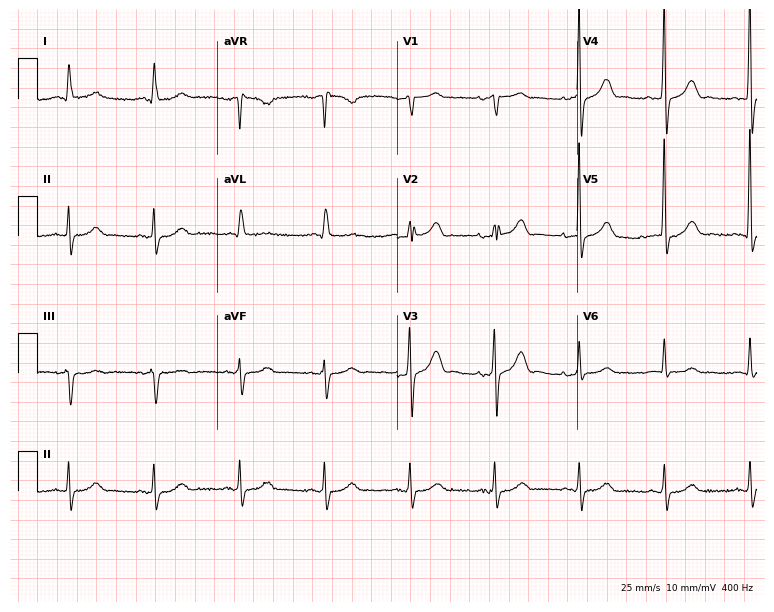
Electrocardiogram, an 82-year-old female patient. Overall reading on record: normal ECG.